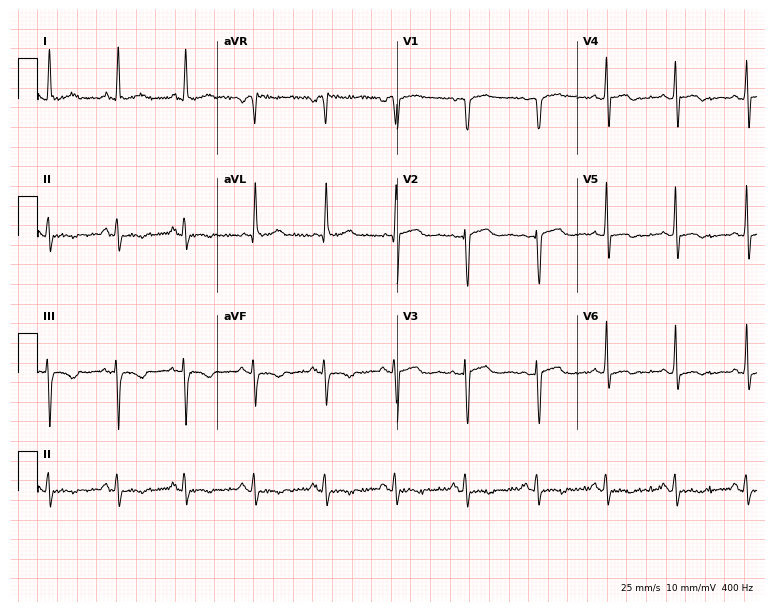
12-lead ECG from a female patient, 63 years old. Screened for six findings — first-degree AV block, right bundle branch block, left bundle branch block, sinus bradycardia, atrial fibrillation, sinus tachycardia — none is recorded.